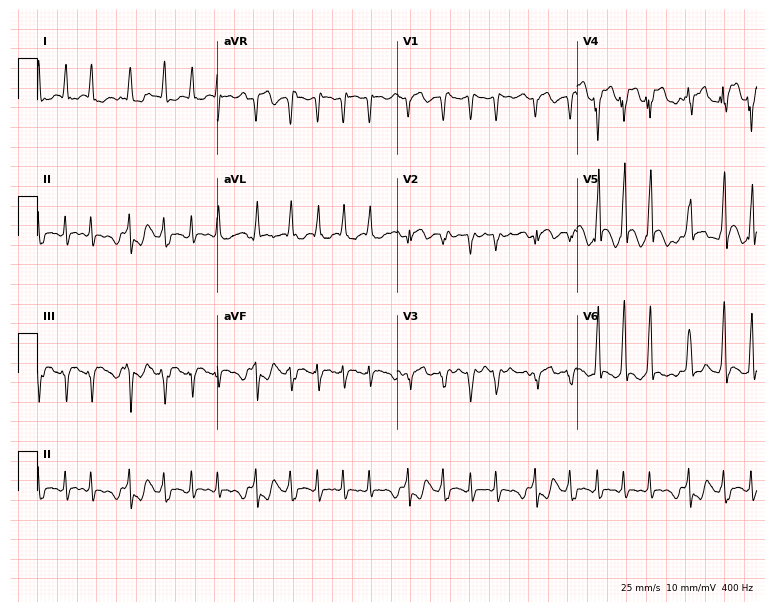
Resting 12-lead electrocardiogram. Patient: a male, 75 years old. The tracing shows atrial fibrillation (AF).